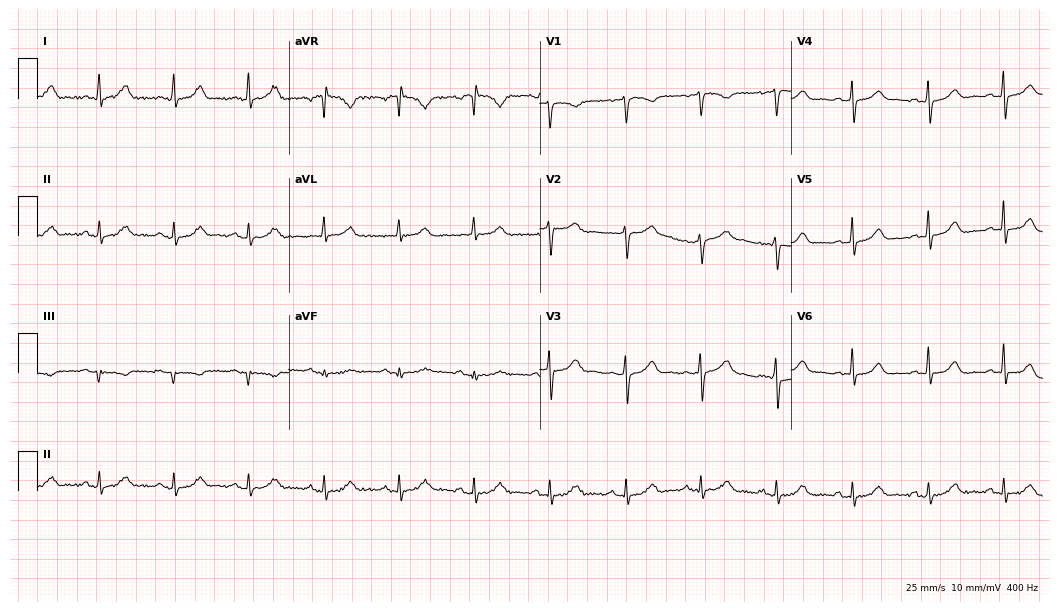
ECG — a 45-year-old male. Labelled as a normal ECG.